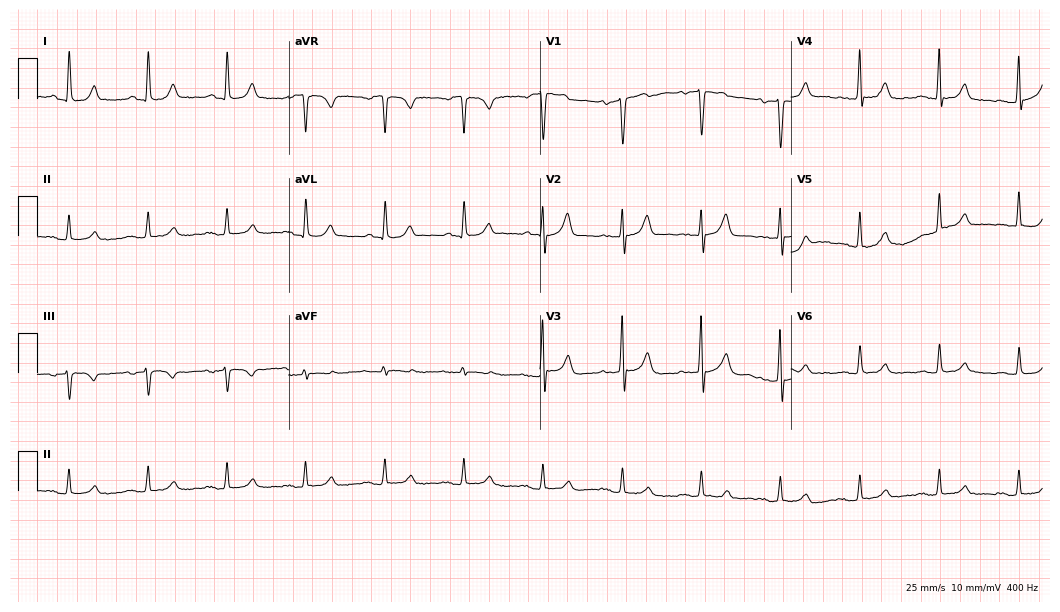
12-lead ECG from a 62-year-old male (10.2-second recording at 400 Hz). Recorded interpretation: within normal limits.